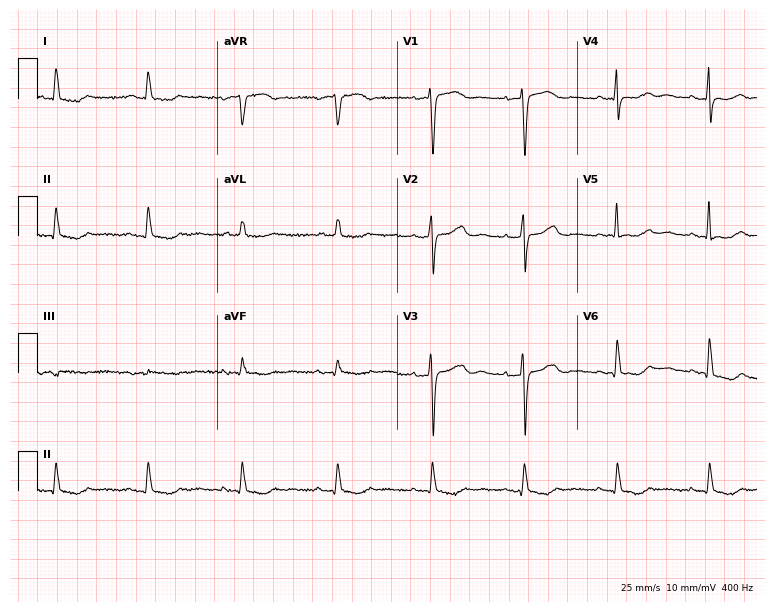
Resting 12-lead electrocardiogram (7.3-second recording at 400 Hz). Patient: a female, 75 years old. None of these six findings is recorded: first-degree AV block, right bundle branch block (RBBB), left bundle branch block (LBBB), sinus bradycardia, atrial fibrillation (AF), sinus tachycardia. Only these six findings were labelled.